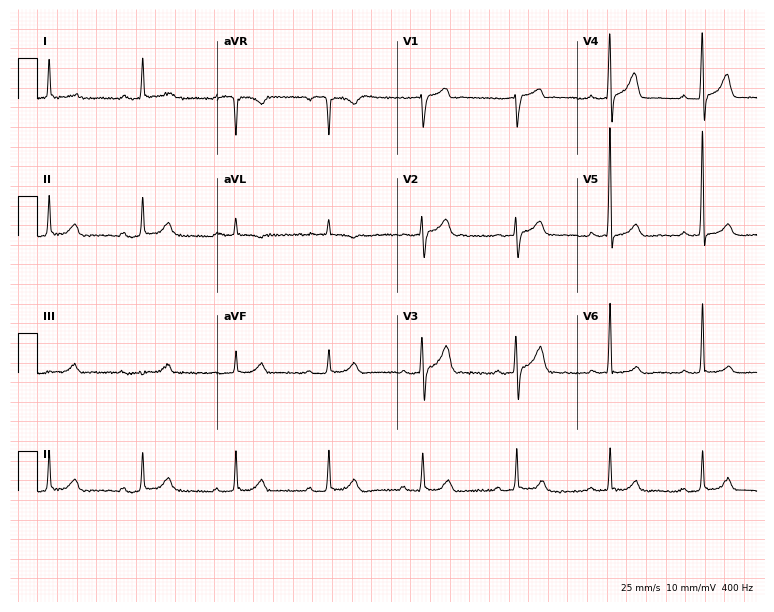
Electrocardiogram (7.3-second recording at 400 Hz), a man, 81 years old. Of the six screened findings (first-degree AV block, right bundle branch block (RBBB), left bundle branch block (LBBB), sinus bradycardia, atrial fibrillation (AF), sinus tachycardia), none is recorded.